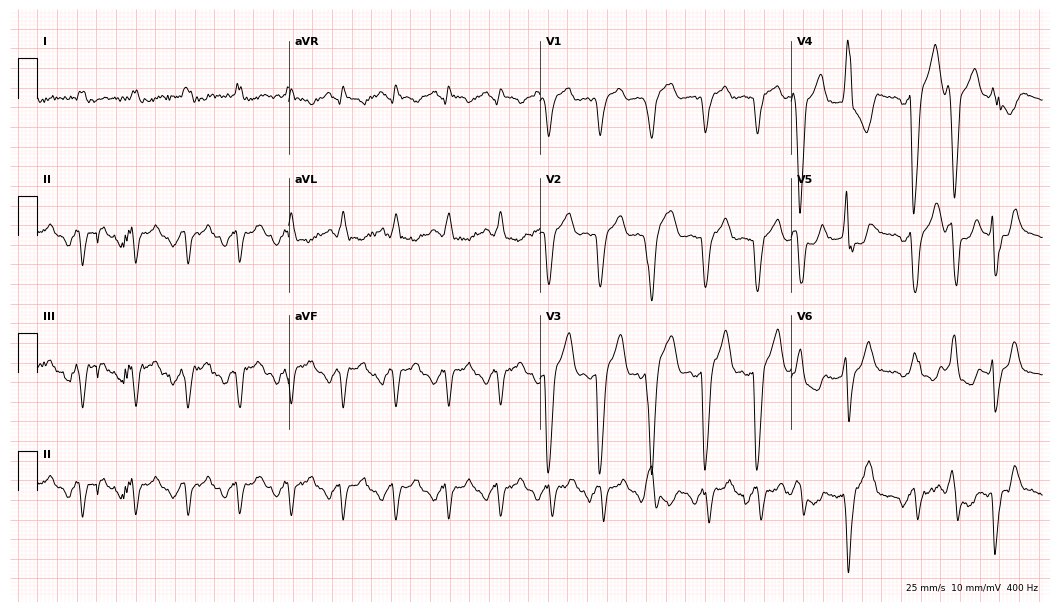
12-lead ECG from an 80-year-old woman. Shows left bundle branch block.